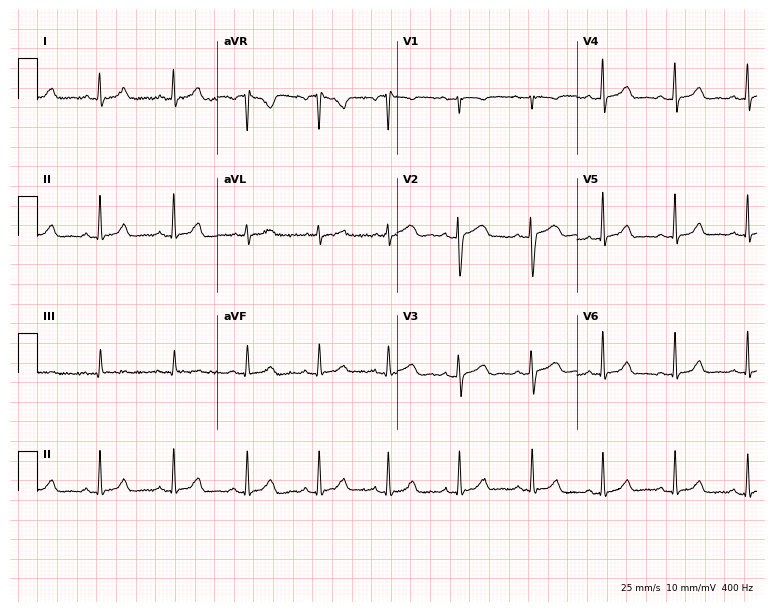
Resting 12-lead electrocardiogram. Patient: a 35-year-old female. None of these six findings is recorded: first-degree AV block, right bundle branch block, left bundle branch block, sinus bradycardia, atrial fibrillation, sinus tachycardia.